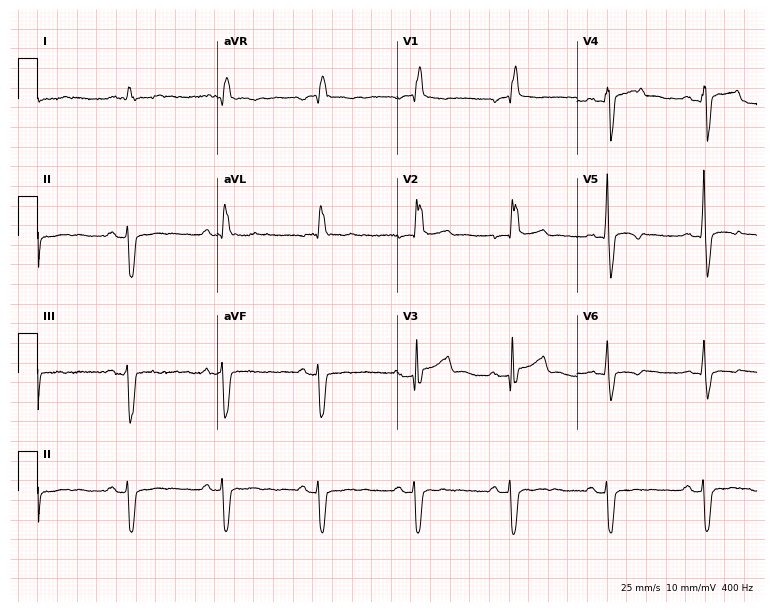
Electrocardiogram (7.3-second recording at 400 Hz), a male, 58 years old. Interpretation includes right bundle branch block.